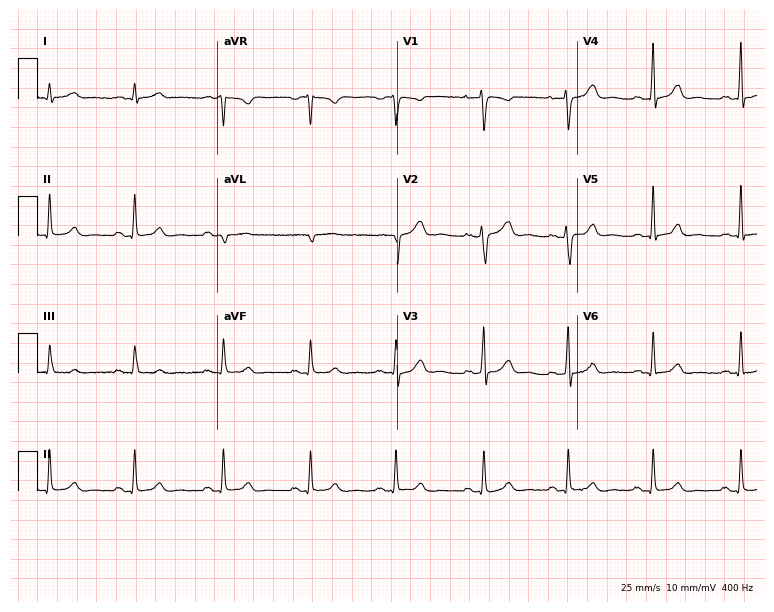
Standard 12-lead ECG recorded from a female patient, 39 years old (7.3-second recording at 400 Hz). Read as a normal ECG.